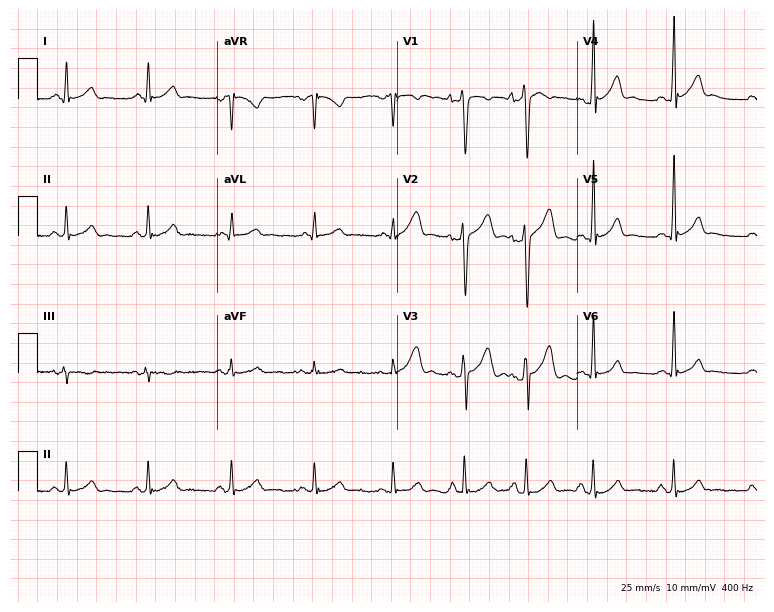
ECG — a male patient, 33 years old. Screened for six findings — first-degree AV block, right bundle branch block (RBBB), left bundle branch block (LBBB), sinus bradycardia, atrial fibrillation (AF), sinus tachycardia — none is recorded.